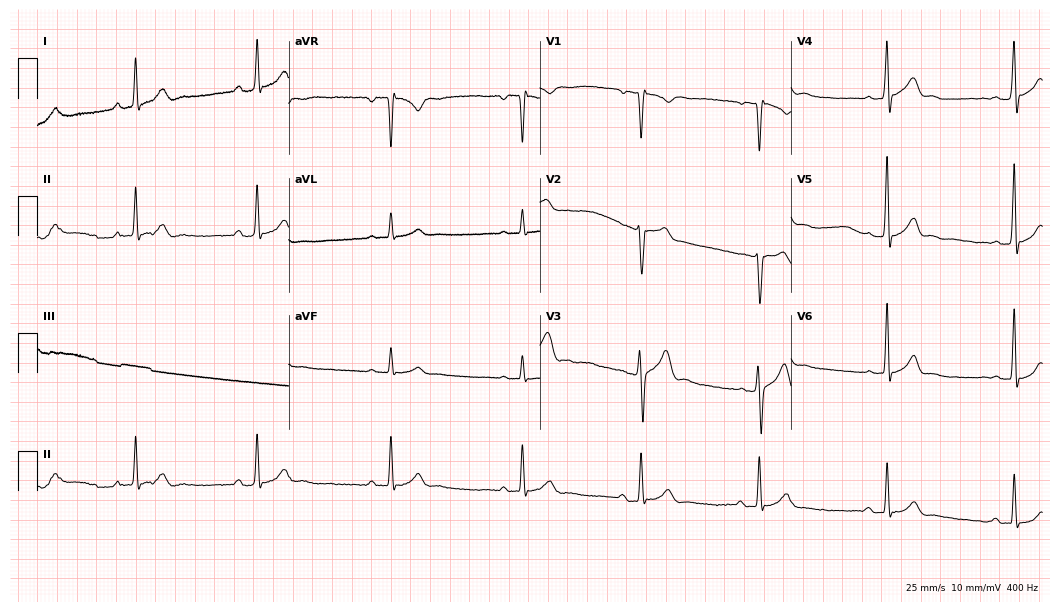
Standard 12-lead ECG recorded from a man, 27 years old (10.2-second recording at 400 Hz). None of these six findings is recorded: first-degree AV block, right bundle branch block, left bundle branch block, sinus bradycardia, atrial fibrillation, sinus tachycardia.